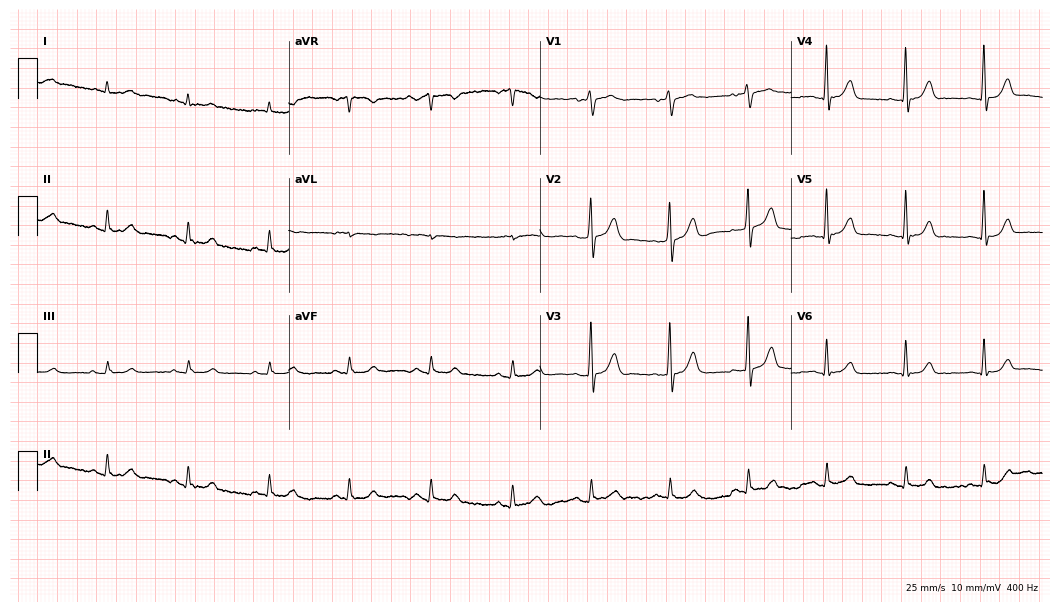
Resting 12-lead electrocardiogram. Patient: a 64-year-old male. Read as a normal ECG.